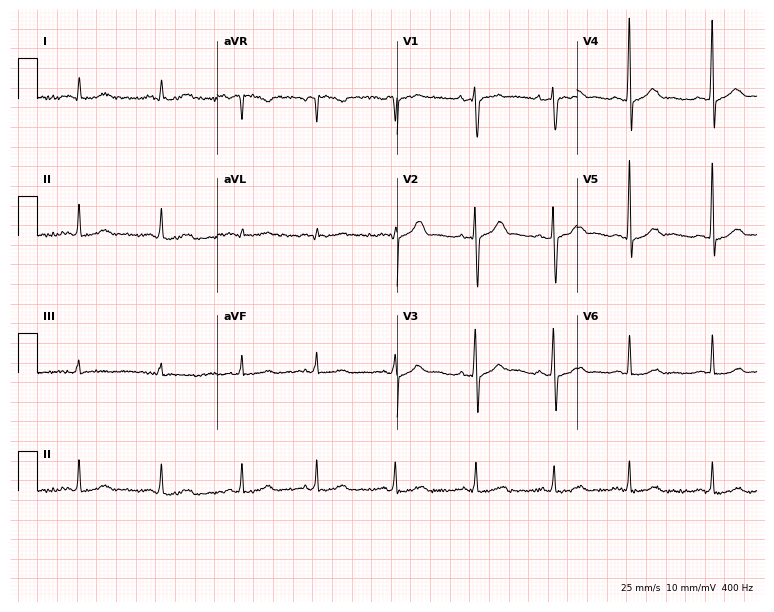
12-lead ECG from a 34-year-old man. Labelled as a normal ECG.